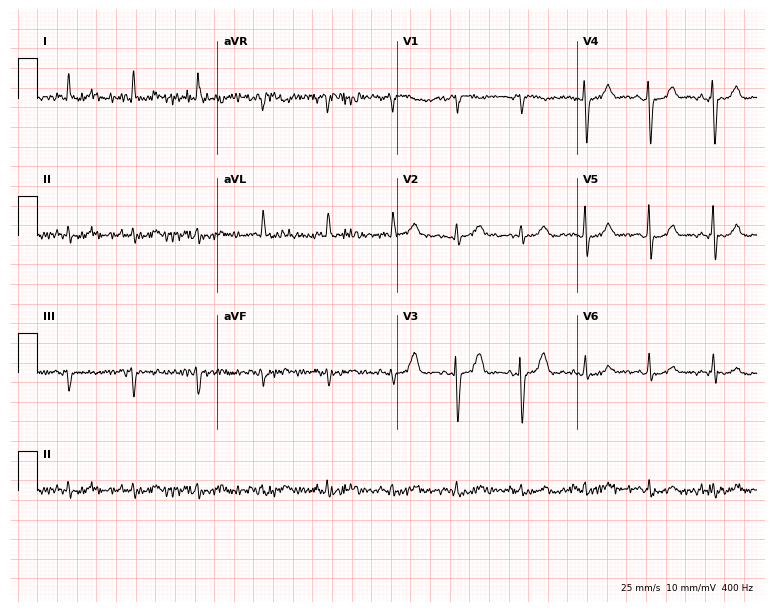
Standard 12-lead ECG recorded from a female, 78 years old (7.3-second recording at 400 Hz). None of these six findings is recorded: first-degree AV block, right bundle branch block (RBBB), left bundle branch block (LBBB), sinus bradycardia, atrial fibrillation (AF), sinus tachycardia. Other findings, if any, are not listed.